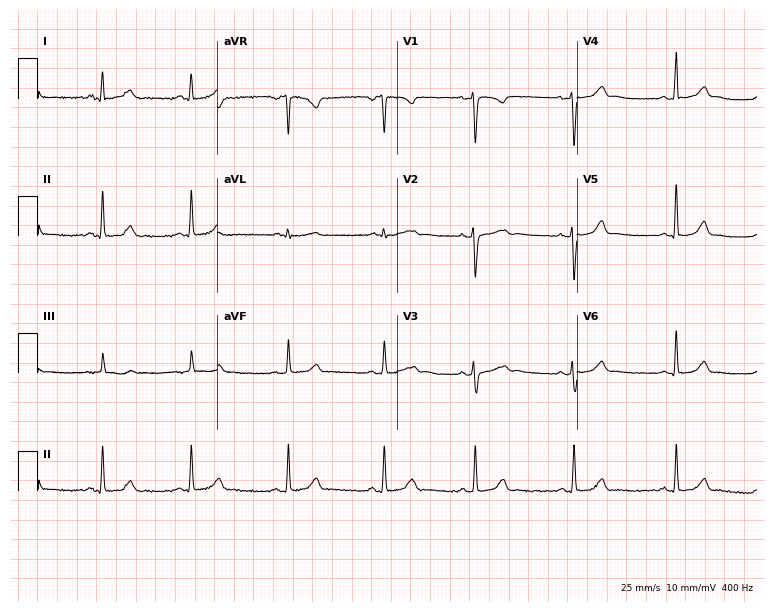
12-lead ECG (7.3-second recording at 400 Hz) from a 25-year-old woman. Screened for six findings — first-degree AV block, right bundle branch block, left bundle branch block, sinus bradycardia, atrial fibrillation, sinus tachycardia — none is recorded.